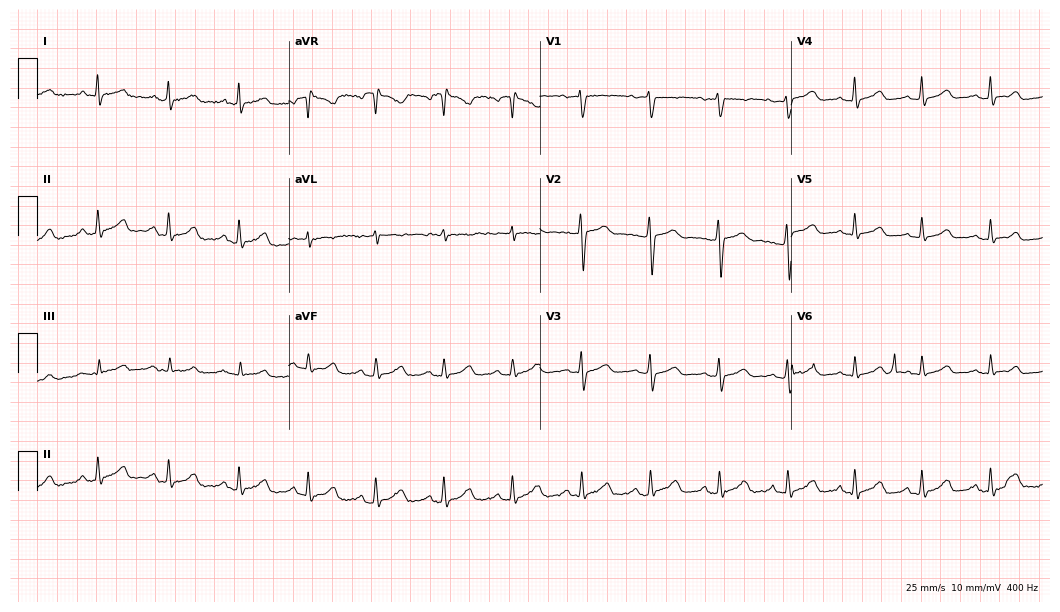
ECG (10.2-second recording at 400 Hz) — a 27-year-old woman. Labelled as a normal ECG.